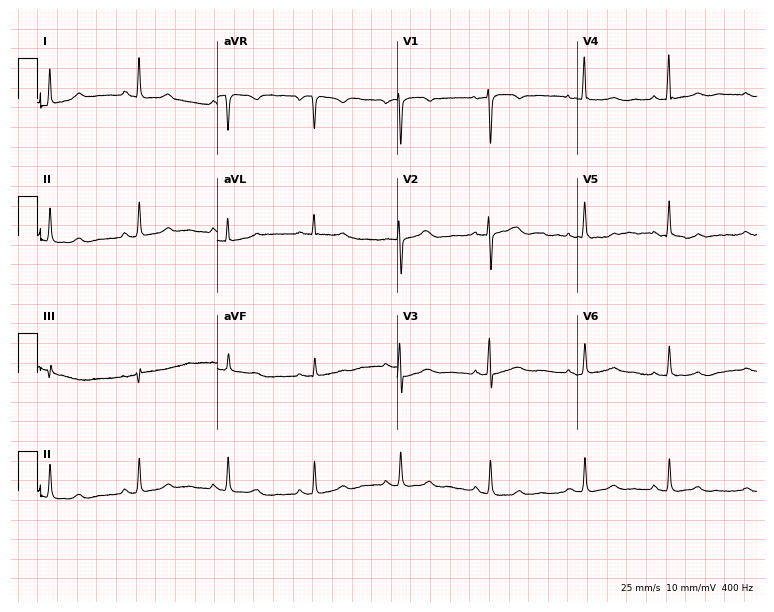
12-lead ECG from a female patient, 65 years old (7.3-second recording at 400 Hz). Recorded interpretation: within normal limits.